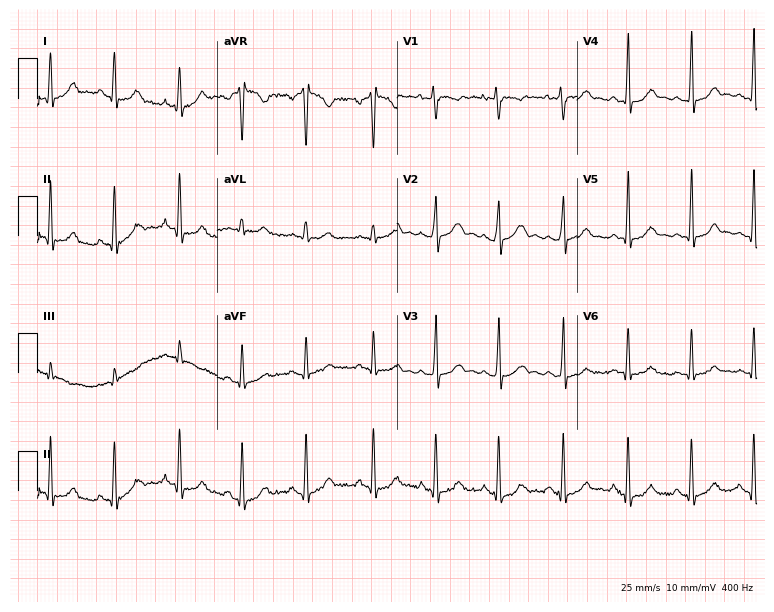
Resting 12-lead electrocardiogram. Patient: an 18-year-old woman. Read as a normal ECG.